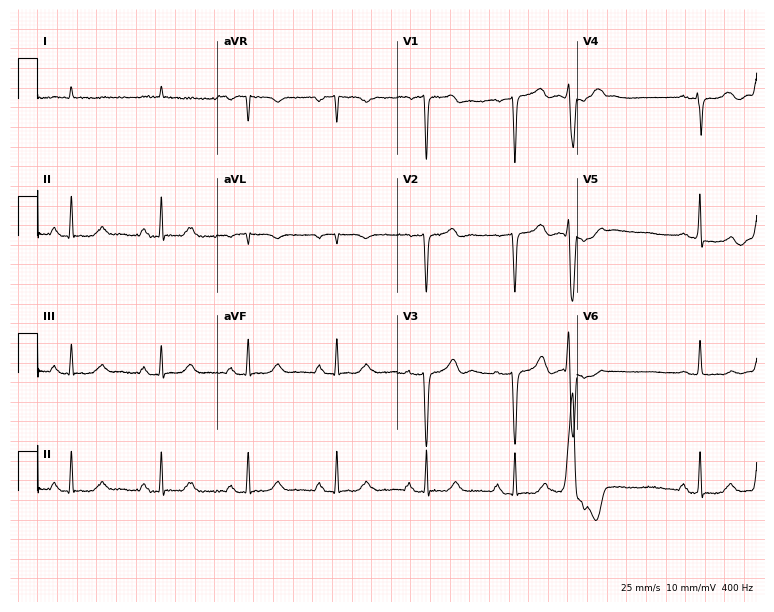
Standard 12-lead ECG recorded from a male, 78 years old (7.3-second recording at 400 Hz). None of these six findings is recorded: first-degree AV block, right bundle branch block, left bundle branch block, sinus bradycardia, atrial fibrillation, sinus tachycardia. Other findings, if any, are not listed.